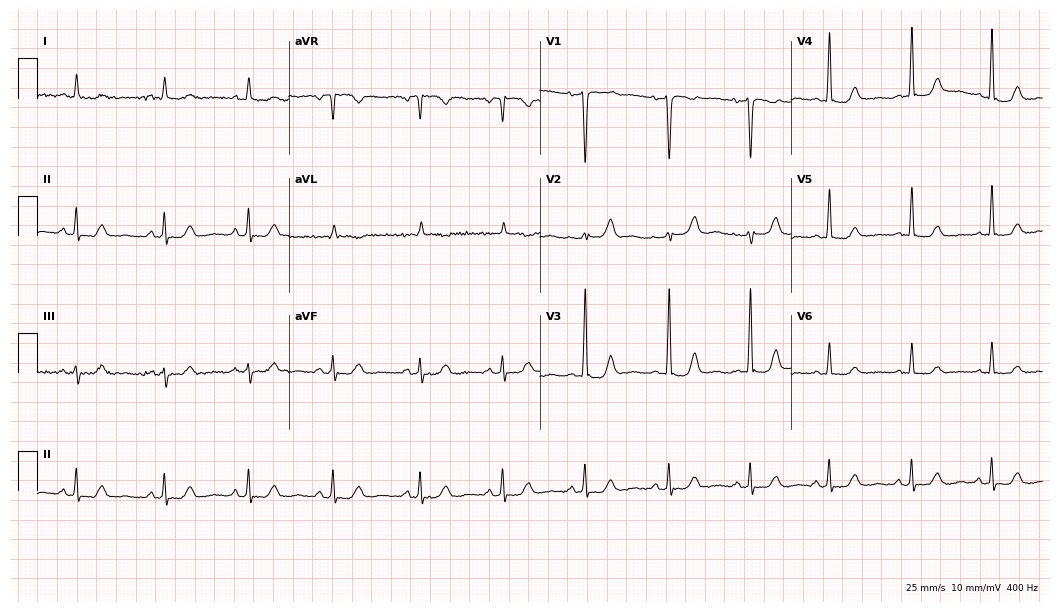
Resting 12-lead electrocardiogram (10.2-second recording at 400 Hz). Patient: a female, 66 years old. Read as a normal ECG.